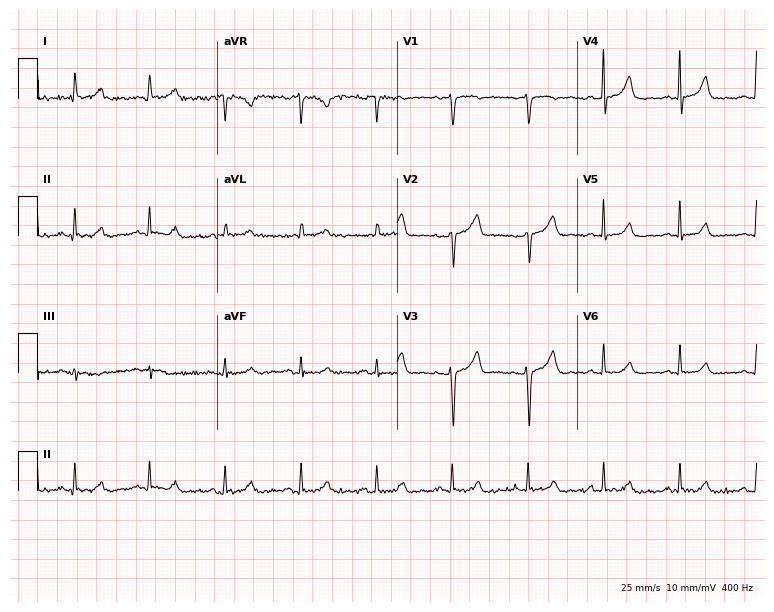
Resting 12-lead electrocardiogram (7.3-second recording at 400 Hz). Patient: a man, 60 years old. None of these six findings is recorded: first-degree AV block, right bundle branch block (RBBB), left bundle branch block (LBBB), sinus bradycardia, atrial fibrillation (AF), sinus tachycardia. Other findings, if any, are not listed.